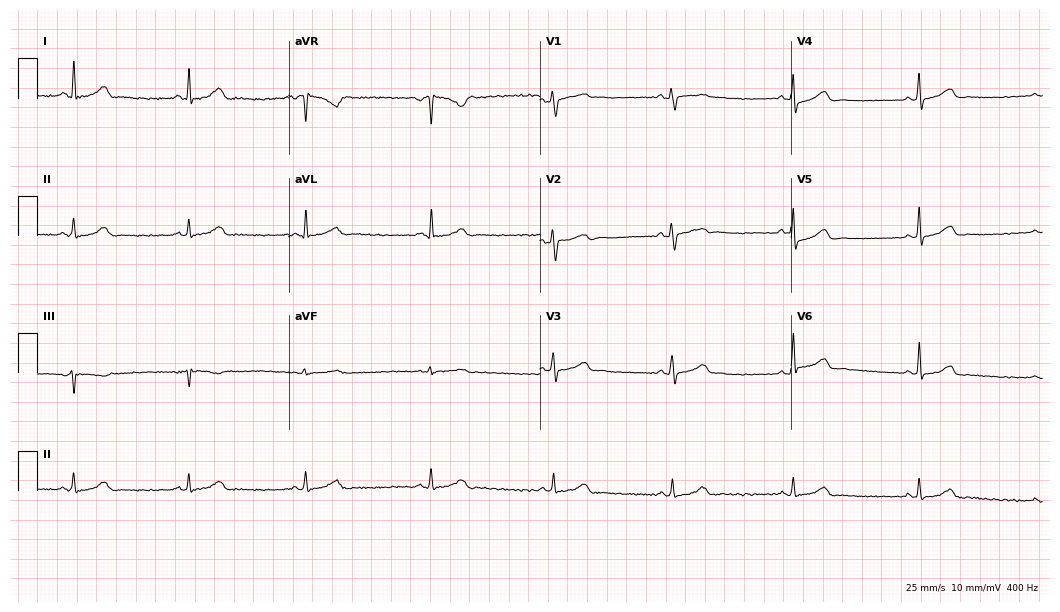
12-lead ECG from a female patient, 36 years old (10.2-second recording at 400 Hz). No first-degree AV block, right bundle branch block (RBBB), left bundle branch block (LBBB), sinus bradycardia, atrial fibrillation (AF) or sinus tachycardia recorded for this tracing. Only these six findings were labelled.